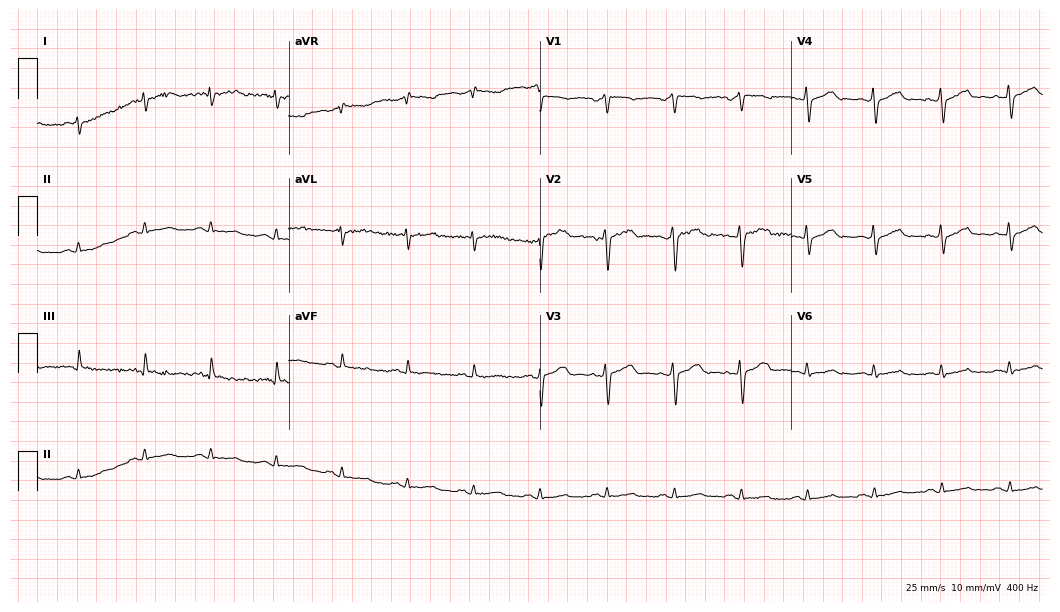
12-lead ECG from a man, 50 years old. Screened for six findings — first-degree AV block, right bundle branch block, left bundle branch block, sinus bradycardia, atrial fibrillation, sinus tachycardia — none is recorded. Only these six findings were labelled.